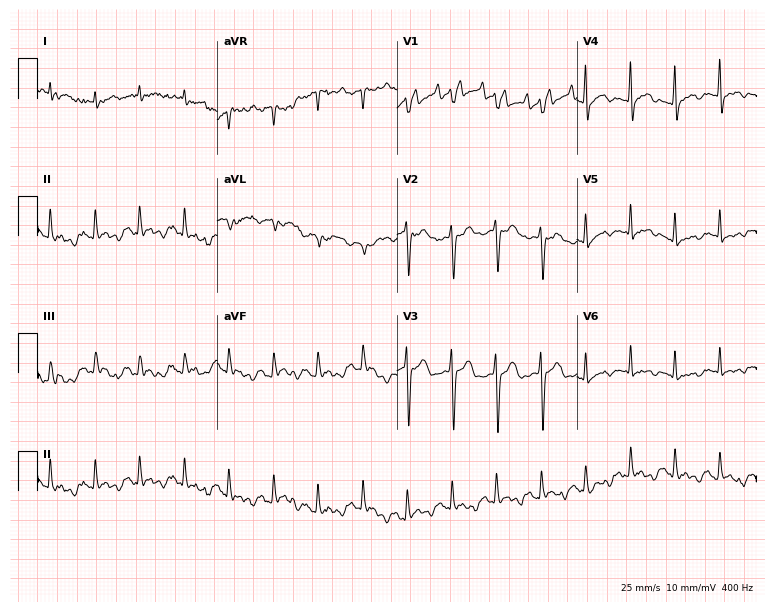
12-lead ECG from a 76-year-old female. Screened for six findings — first-degree AV block, right bundle branch block, left bundle branch block, sinus bradycardia, atrial fibrillation, sinus tachycardia — none is recorded.